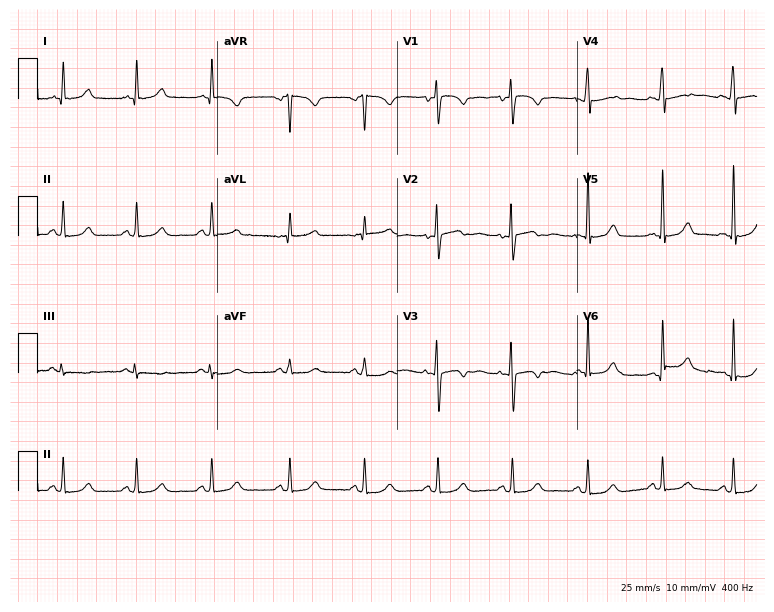
Electrocardiogram, a 49-year-old female patient. Overall reading on record: normal ECG.